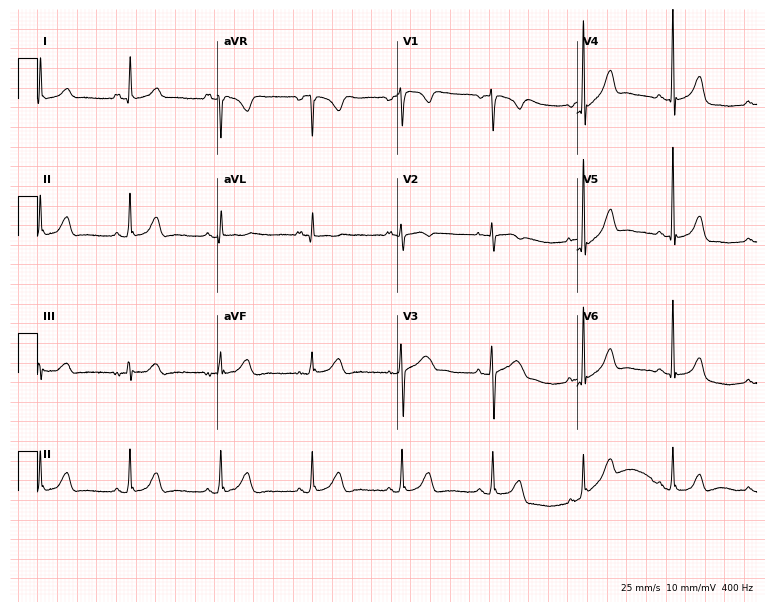
12-lead ECG from a woman, 49 years old. Labelled as a normal ECG.